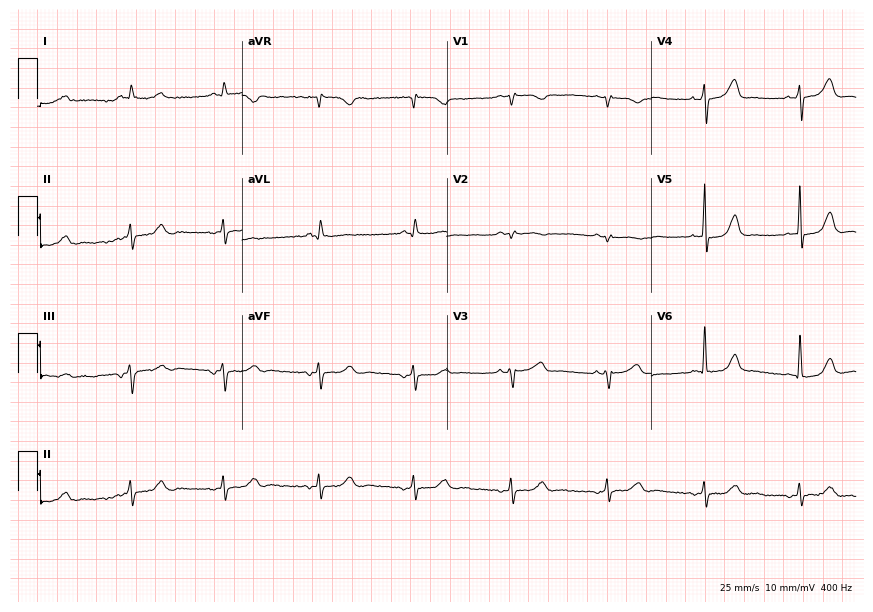
ECG (8.3-second recording at 400 Hz) — a female, 71 years old. Screened for six findings — first-degree AV block, right bundle branch block, left bundle branch block, sinus bradycardia, atrial fibrillation, sinus tachycardia — none is recorded. Findings outside these six are not listed.